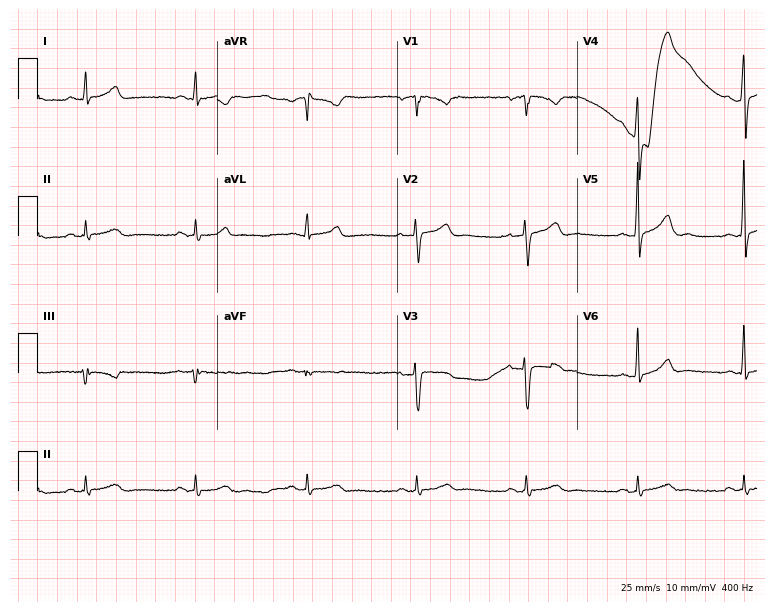
12-lead ECG from a 42-year-old male patient. Labelled as a normal ECG.